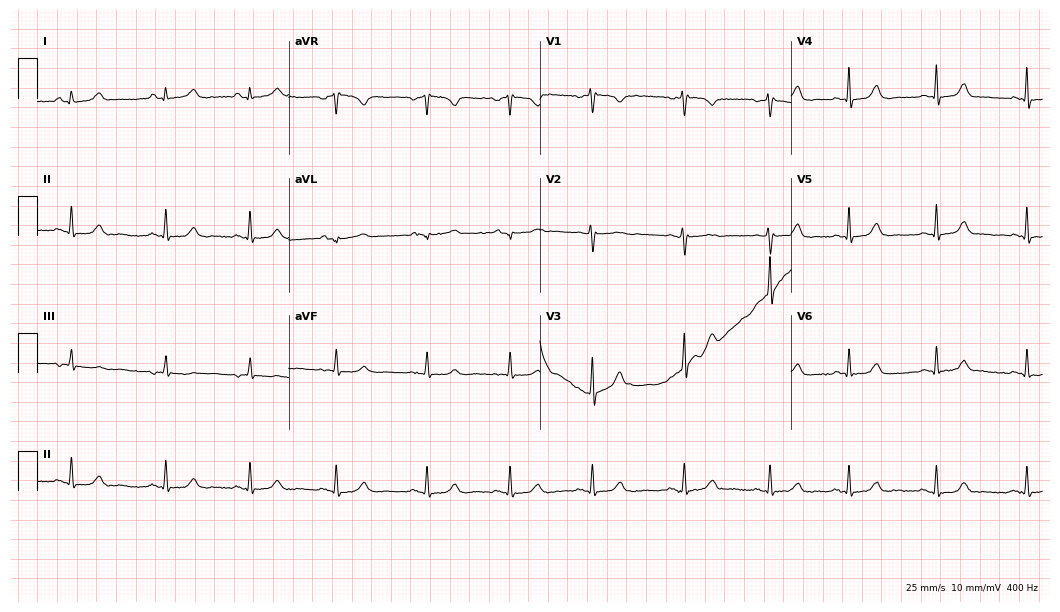
Electrocardiogram (10.2-second recording at 400 Hz), a 22-year-old woman. Overall reading on record: normal ECG.